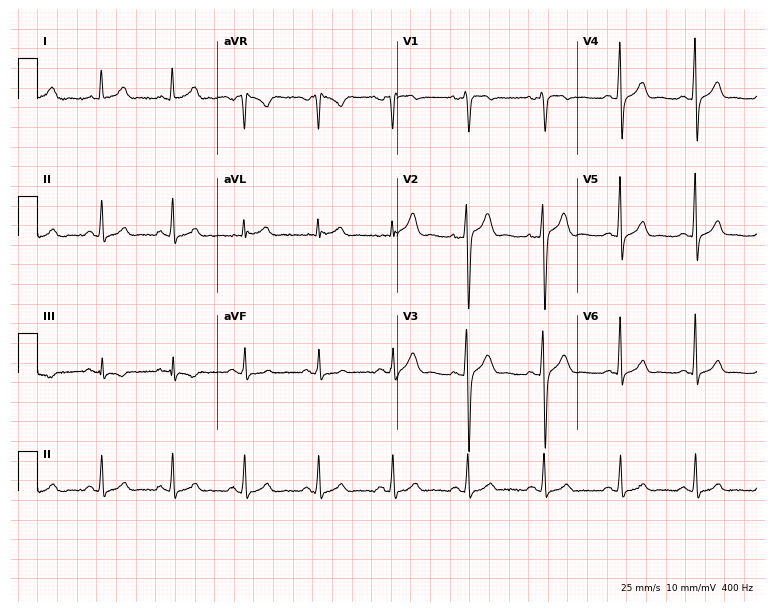
Electrocardiogram, a 36-year-old male. Overall reading on record: normal ECG.